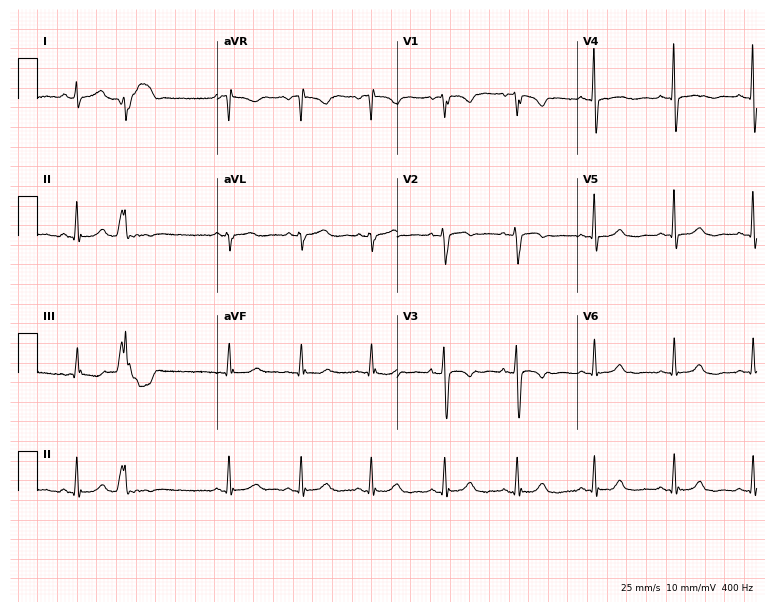
Standard 12-lead ECG recorded from a woman, 42 years old. None of these six findings is recorded: first-degree AV block, right bundle branch block, left bundle branch block, sinus bradycardia, atrial fibrillation, sinus tachycardia. Findings outside these six are not listed.